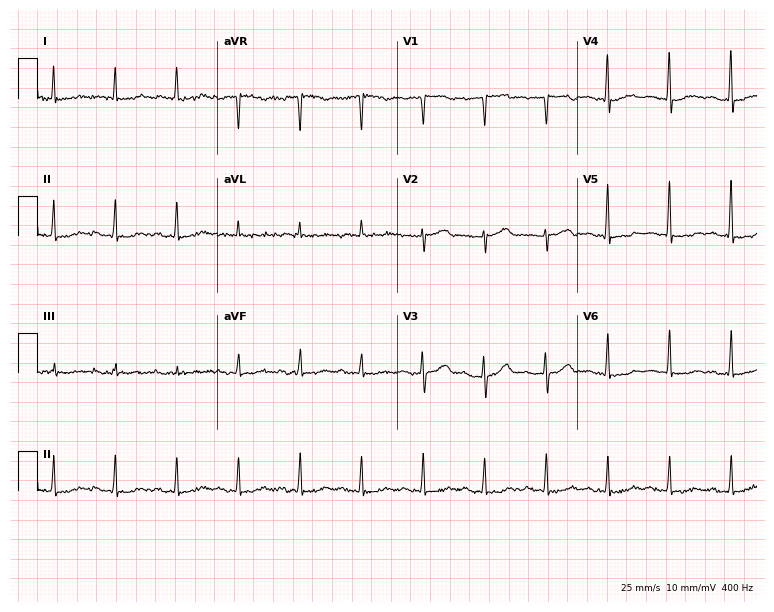
Standard 12-lead ECG recorded from a 64-year-old man (7.3-second recording at 400 Hz). None of these six findings is recorded: first-degree AV block, right bundle branch block (RBBB), left bundle branch block (LBBB), sinus bradycardia, atrial fibrillation (AF), sinus tachycardia. Findings outside these six are not listed.